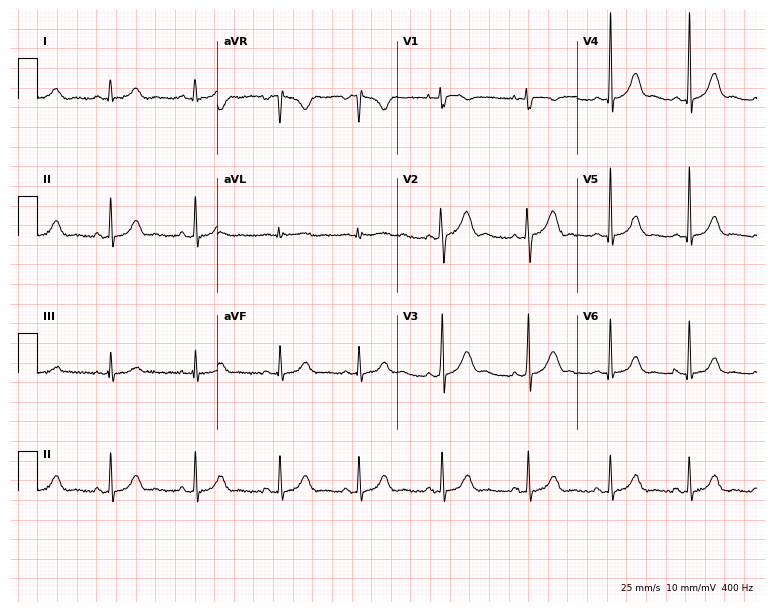
12-lead ECG from a female patient, 26 years old. Recorded interpretation: within normal limits.